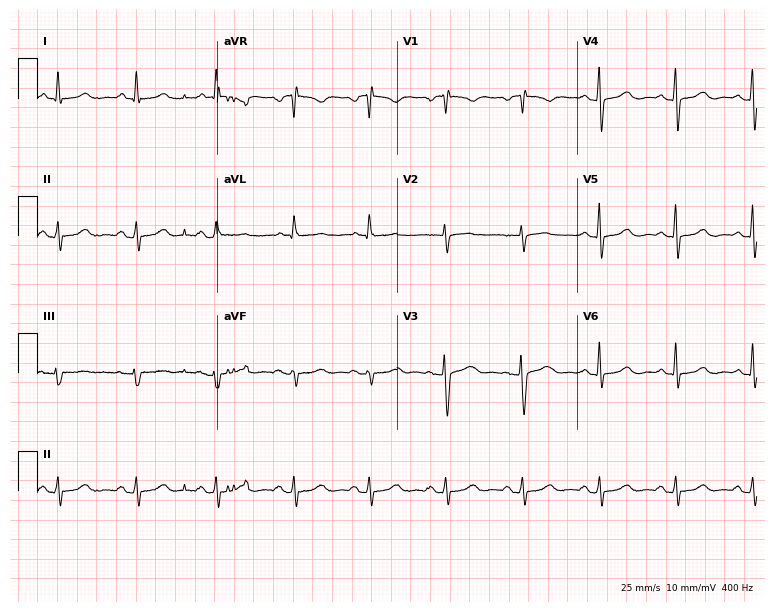
Electrocardiogram (7.3-second recording at 400 Hz), a 56-year-old female. Of the six screened findings (first-degree AV block, right bundle branch block, left bundle branch block, sinus bradycardia, atrial fibrillation, sinus tachycardia), none is recorded. Other findings, if any, are not listed.